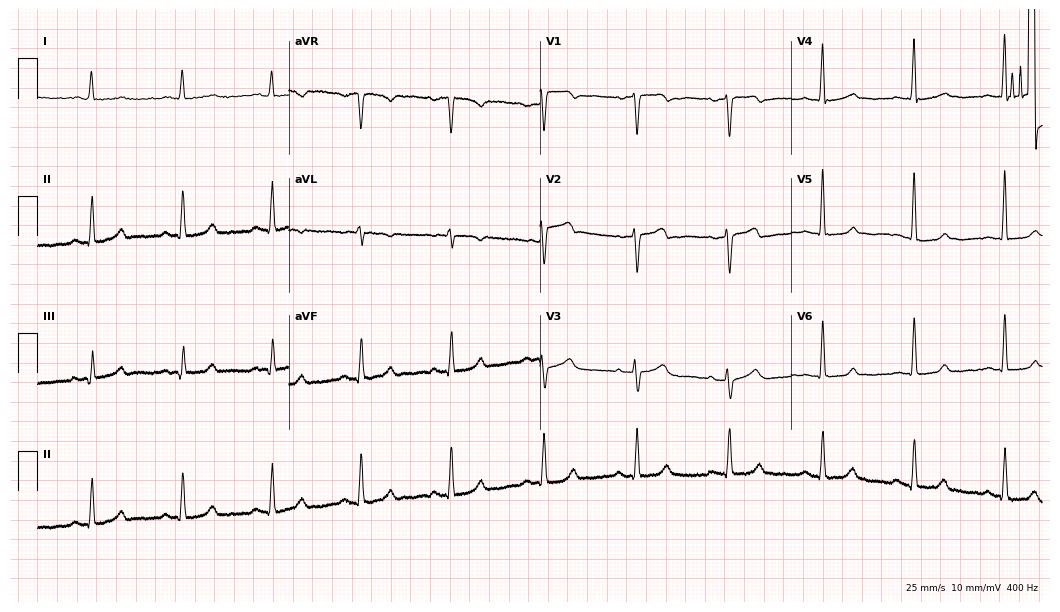
12-lead ECG (10.2-second recording at 400 Hz) from an 84-year-old woman. Labelled as a normal ECG.